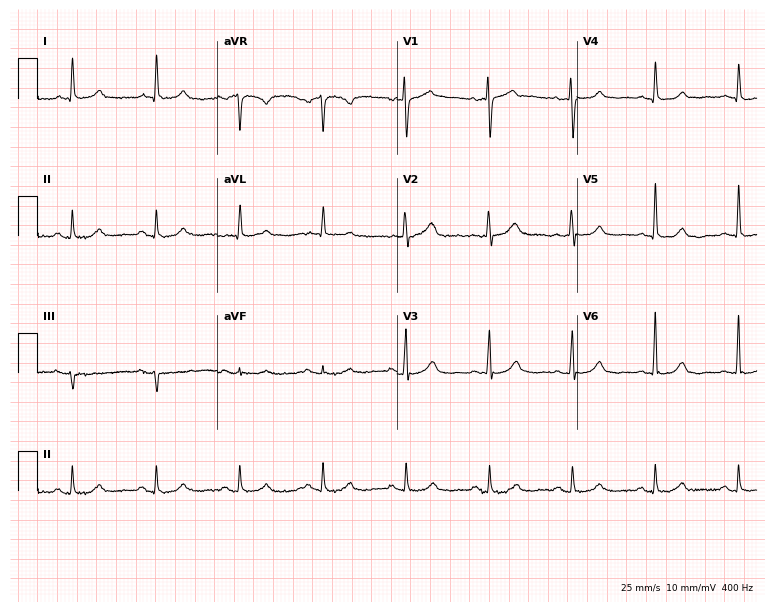
ECG — a 64-year-old female. Screened for six findings — first-degree AV block, right bundle branch block, left bundle branch block, sinus bradycardia, atrial fibrillation, sinus tachycardia — none is recorded. Only these six findings were labelled.